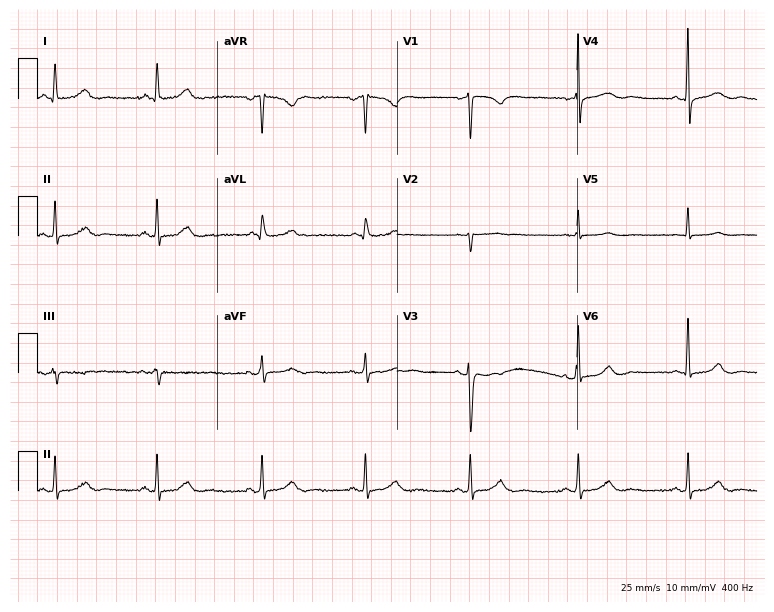
ECG (7.3-second recording at 400 Hz) — a 49-year-old woman. Labelled as a normal ECG.